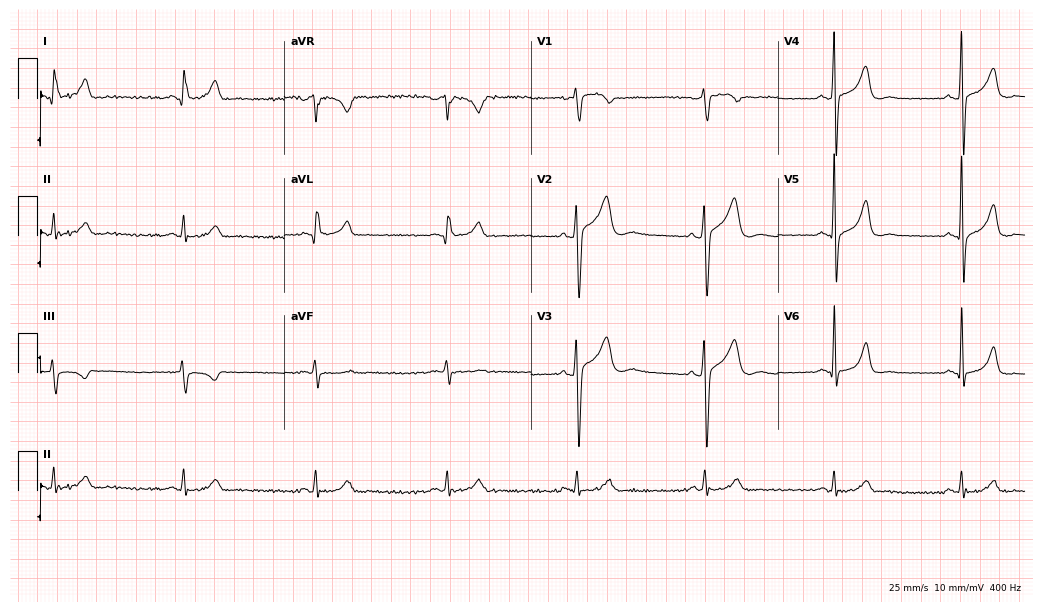
12-lead ECG from a 36-year-old male patient. No first-degree AV block, right bundle branch block (RBBB), left bundle branch block (LBBB), sinus bradycardia, atrial fibrillation (AF) or sinus tachycardia recorded for this tracing. Findings outside these six are not listed.